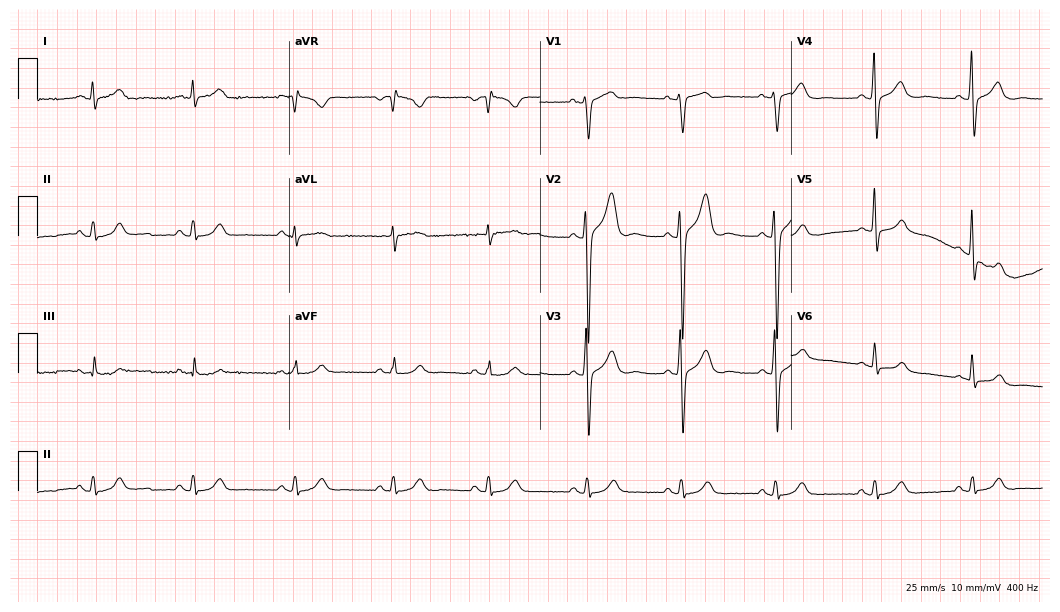
Standard 12-lead ECG recorded from a 63-year-old male patient. Read as a normal ECG.